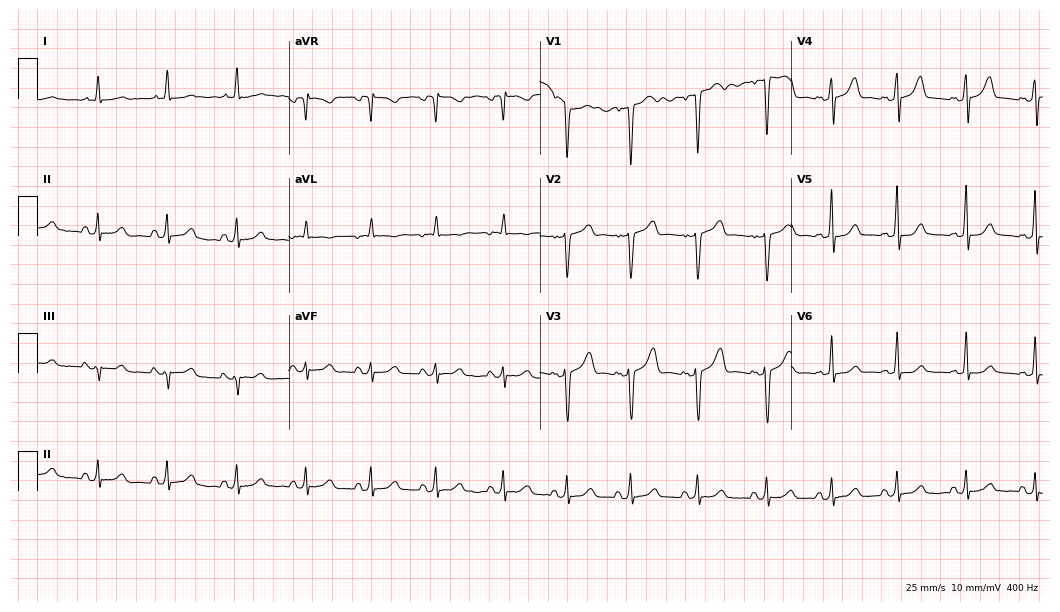
ECG (10.2-second recording at 400 Hz) — a woman, 42 years old. Screened for six findings — first-degree AV block, right bundle branch block, left bundle branch block, sinus bradycardia, atrial fibrillation, sinus tachycardia — none is recorded. Only these six findings were labelled.